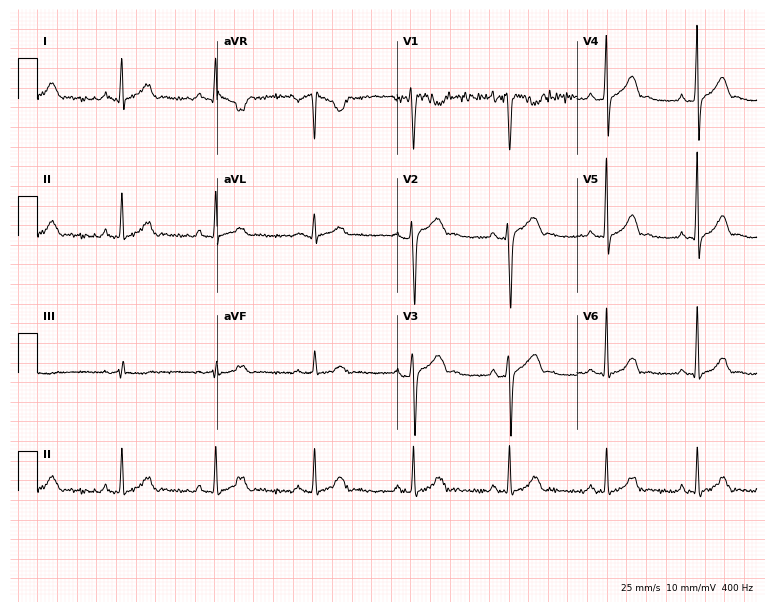
Standard 12-lead ECG recorded from a 21-year-old male (7.3-second recording at 400 Hz). Read as a normal ECG.